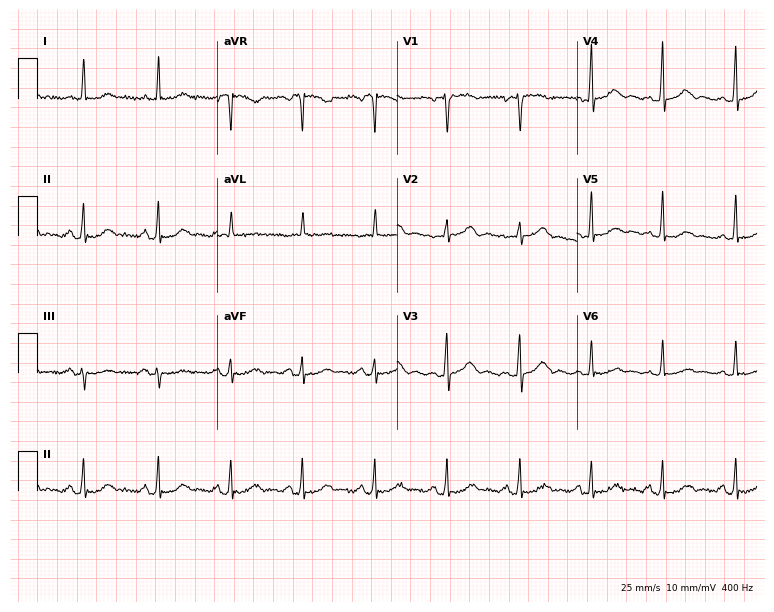
Electrocardiogram (7.3-second recording at 400 Hz), a 73-year-old female patient. Overall reading on record: normal ECG.